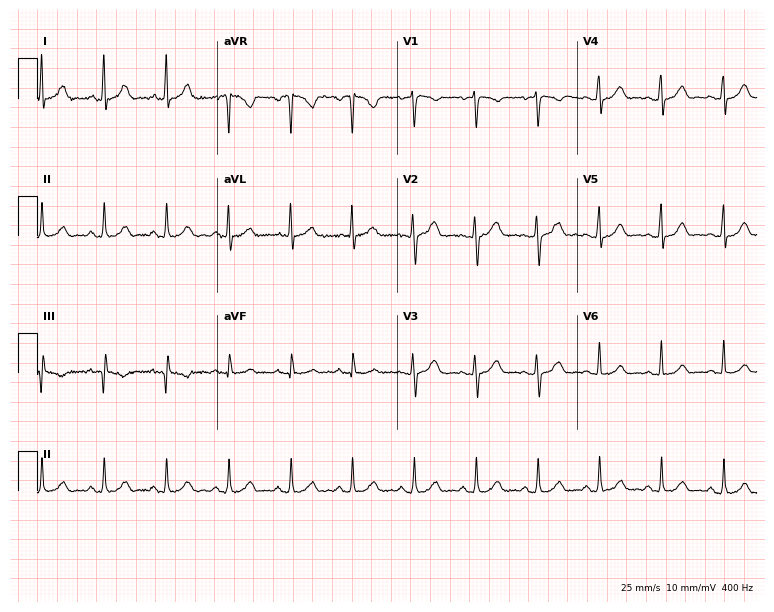
ECG (7.3-second recording at 400 Hz) — a female patient, 44 years old. Labelled as a normal ECG.